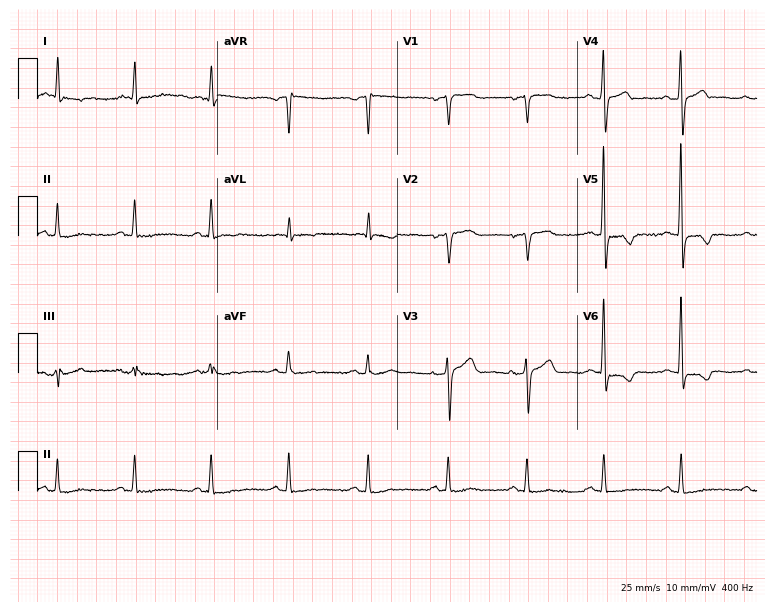
Electrocardiogram, a woman, 62 years old. Of the six screened findings (first-degree AV block, right bundle branch block (RBBB), left bundle branch block (LBBB), sinus bradycardia, atrial fibrillation (AF), sinus tachycardia), none is recorded.